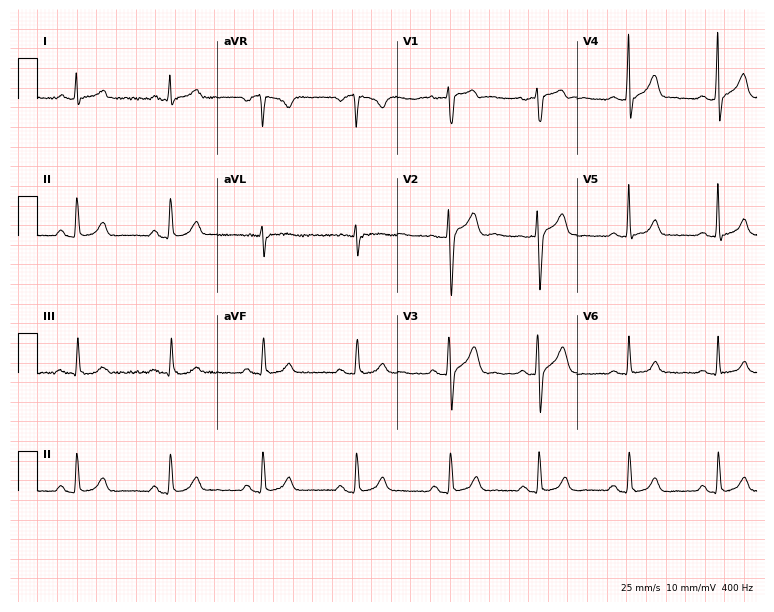
12-lead ECG from a male patient, 54 years old. No first-degree AV block, right bundle branch block (RBBB), left bundle branch block (LBBB), sinus bradycardia, atrial fibrillation (AF) or sinus tachycardia recorded for this tracing. Other findings, if any, are not listed.